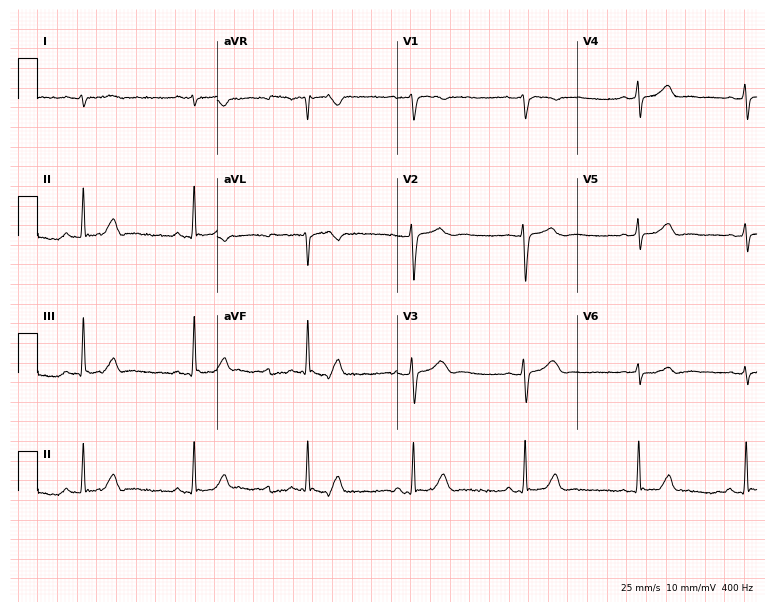
Electrocardiogram, a woman, 22 years old. Of the six screened findings (first-degree AV block, right bundle branch block, left bundle branch block, sinus bradycardia, atrial fibrillation, sinus tachycardia), none is recorded.